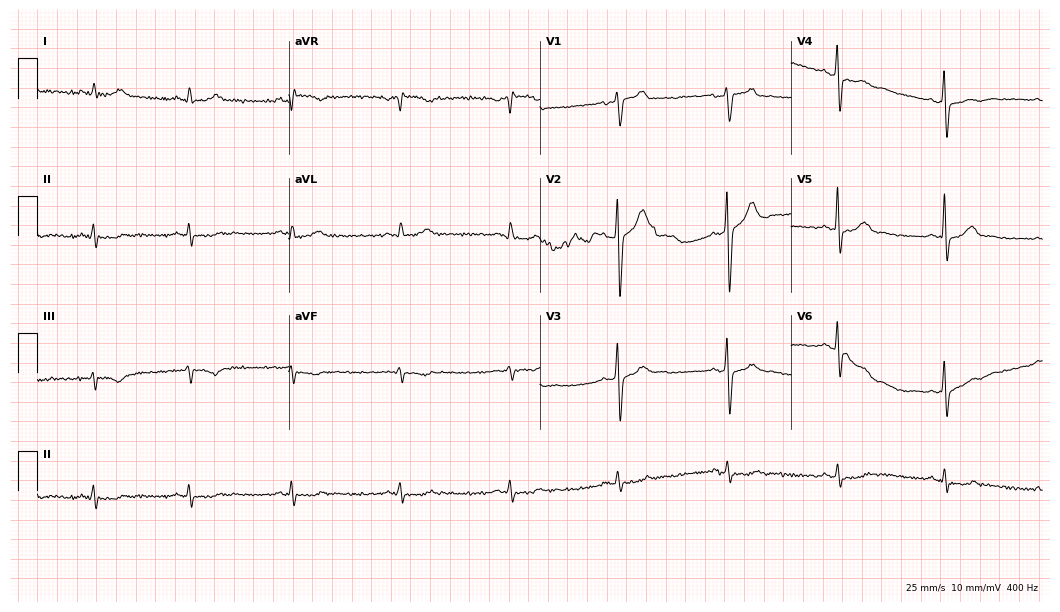
Electrocardiogram (10.2-second recording at 400 Hz), a 51-year-old male patient. Of the six screened findings (first-degree AV block, right bundle branch block, left bundle branch block, sinus bradycardia, atrial fibrillation, sinus tachycardia), none is recorded. Other findings, if any, are not listed.